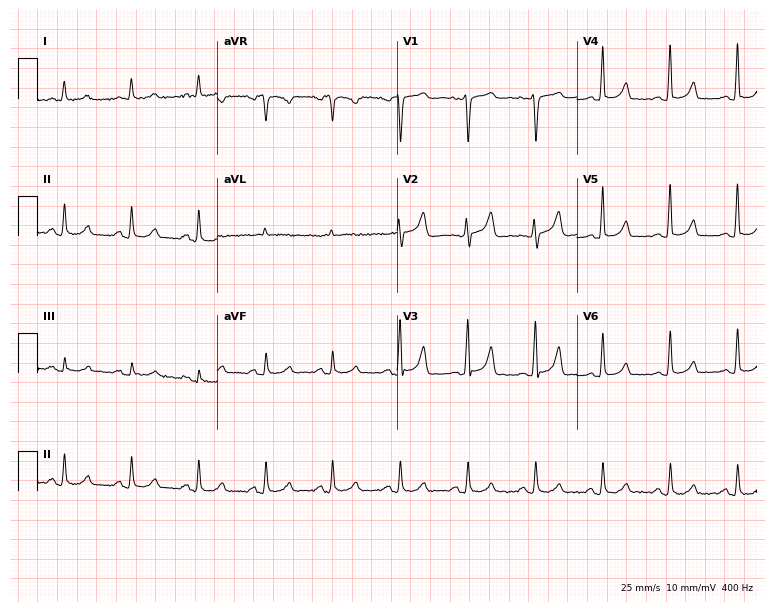
Standard 12-lead ECG recorded from a 53-year-old female patient (7.3-second recording at 400 Hz). None of these six findings is recorded: first-degree AV block, right bundle branch block, left bundle branch block, sinus bradycardia, atrial fibrillation, sinus tachycardia.